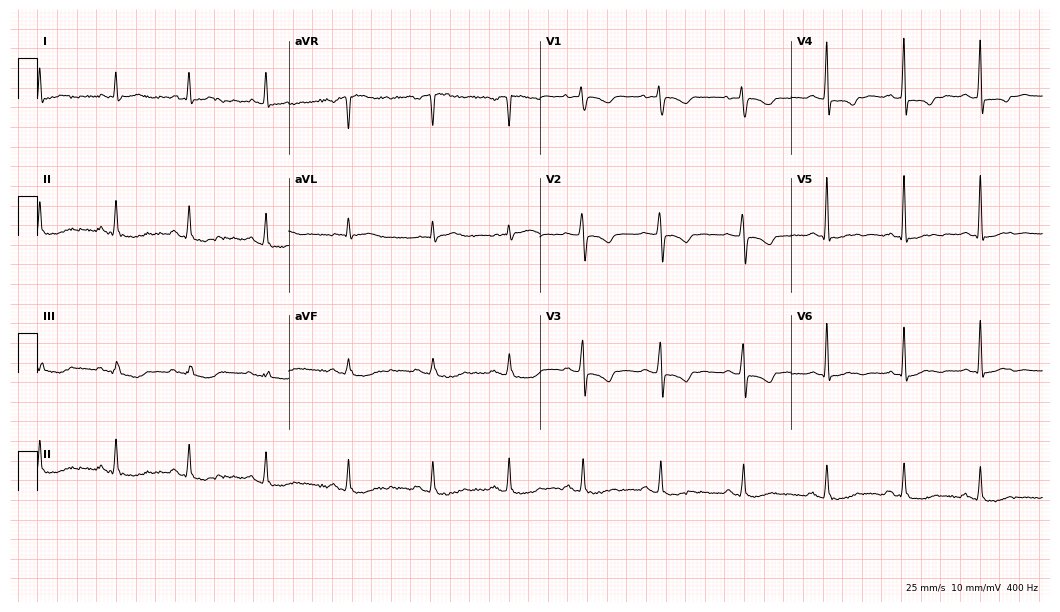
Standard 12-lead ECG recorded from a woman, 52 years old. None of these six findings is recorded: first-degree AV block, right bundle branch block (RBBB), left bundle branch block (LBBB), sinus bradycardia, atrial fibrillation (AF), sinus tachycardia. Findings outside these six are not listed.